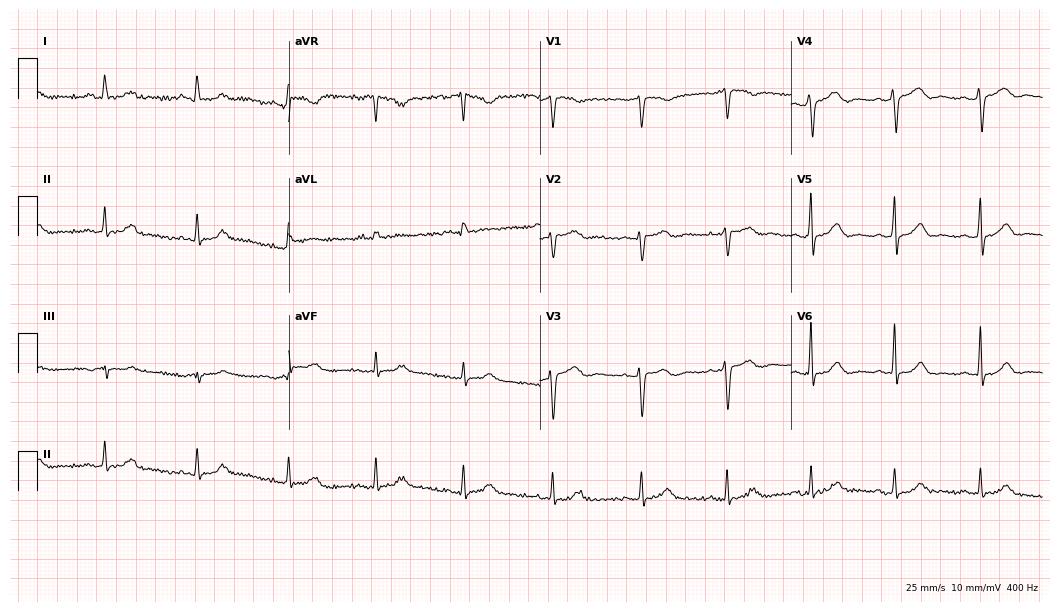
Electrocardiogram, a 47-year-old female patient. Overall reading on record: normal ECG.